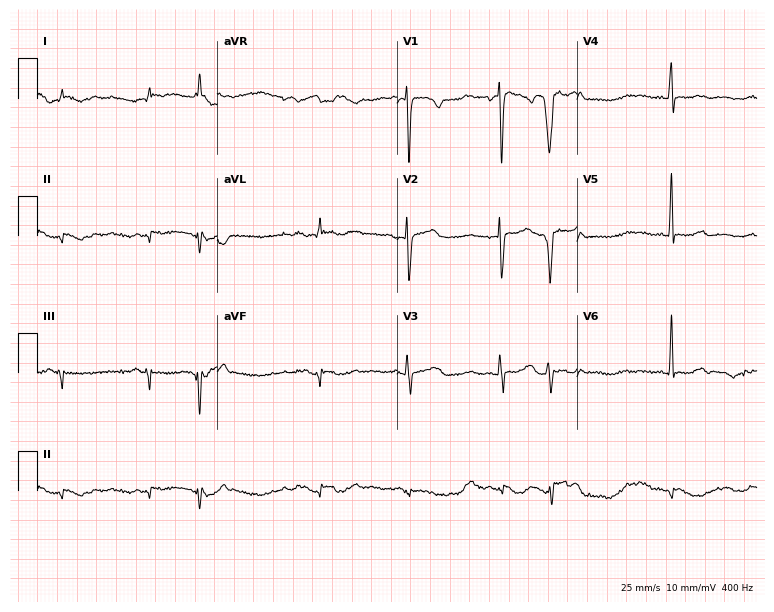
Resting 12-lead electrocardiogram. Patient: a woman, 60 years old. None of these six findings is recorded: first-degree AV block, right bundle branch block (RBBB), left bundle branch block (LBBB), sinus bradycardia, atrial fibrillation (AF), sinus tachycardia. Findings outside these six are not listed.